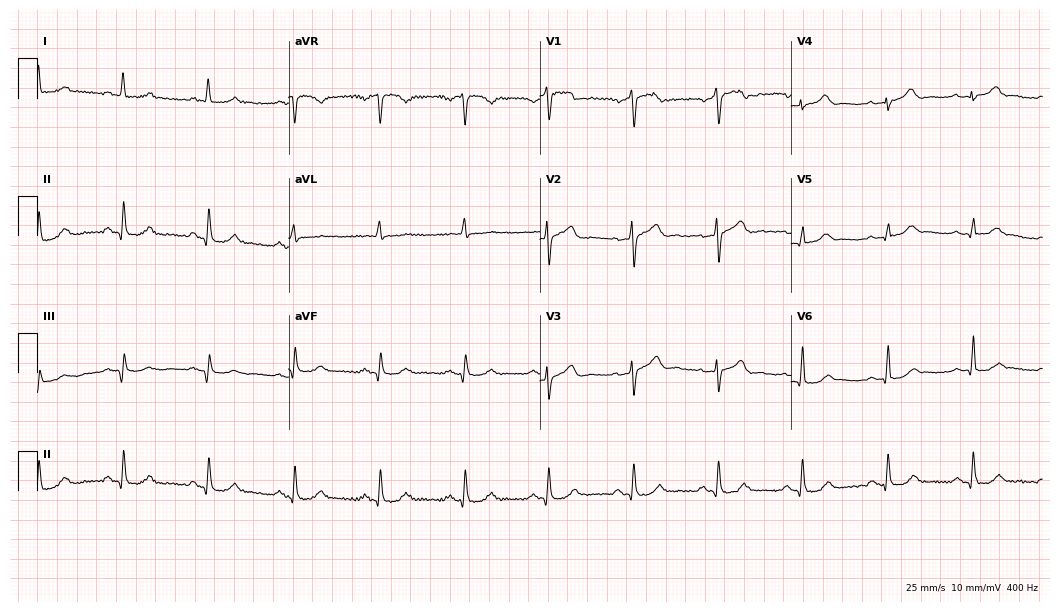
ECG — a 50-year-old male patient. Labelled as a normal ECG.